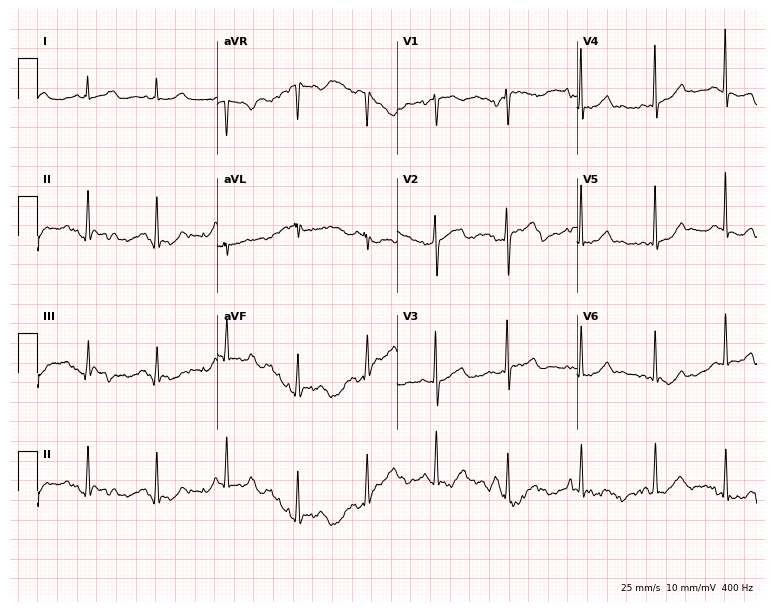
Resting 12-lead electrocardiogram (7.3-second recording at 400 Hz). Patient: a female, 56 years old. None of these six findings is recorded: first-degree AV block, right bundle branch block, left bundle branch block, sinus bradycardia, atrial fibrillation, sinus tachycardia. Findings outside these six are not listed.